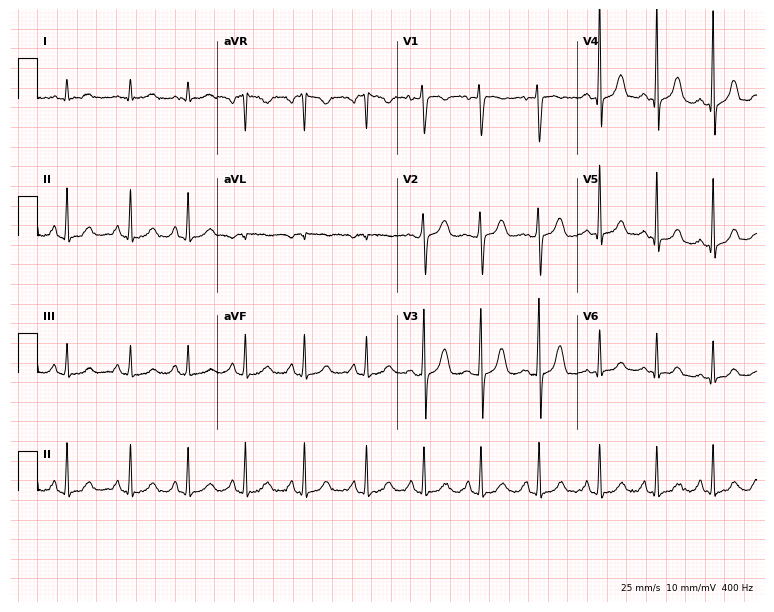
Standard 12-lead ECG recorded from a 35-year-old female patient. Read as a normal ECG.